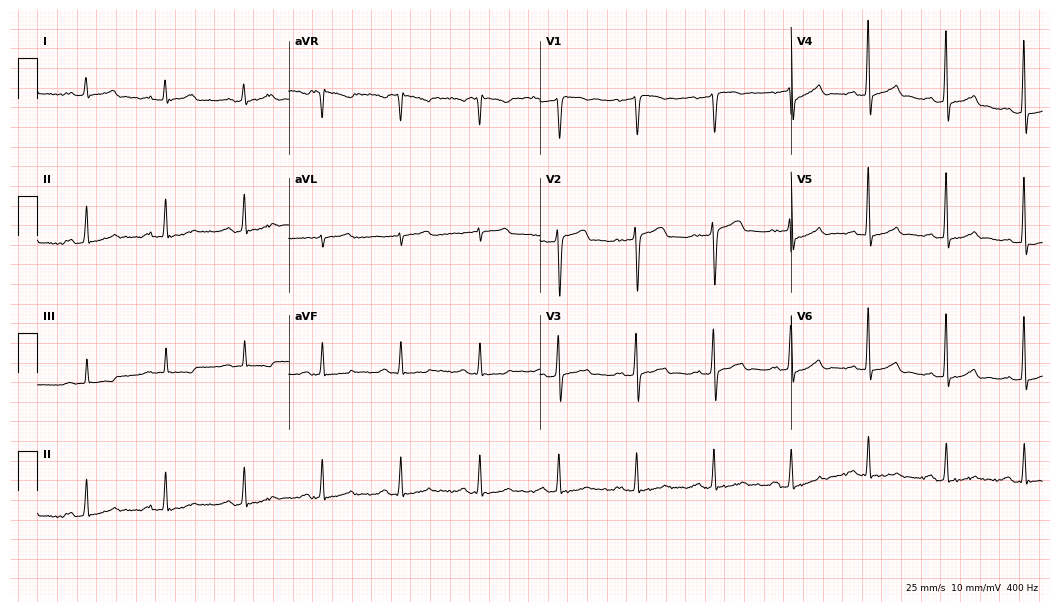
Standard 12-lead ECG recorded from a man, 66 years old (10.2-second recording at 400 Hz). Read as a normal ECG.